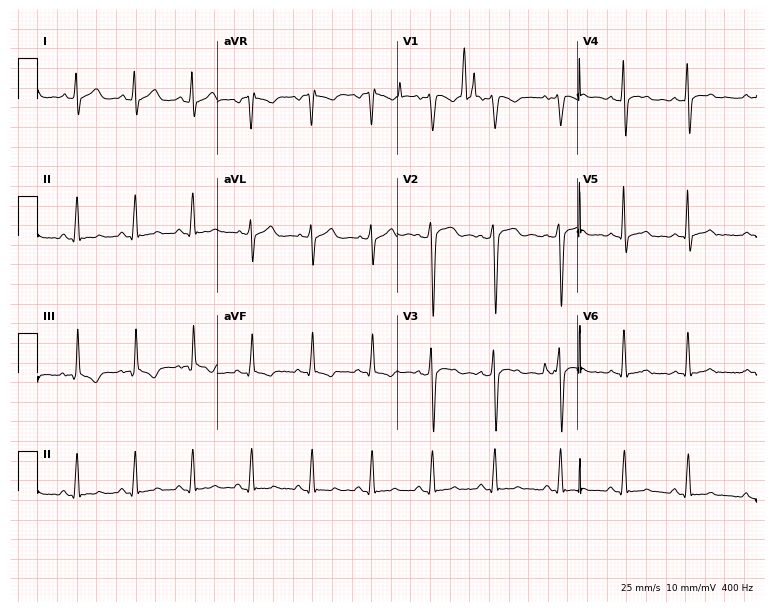
12-lead ECG from a 42-year-old male patient. Screened for six findings — first-degree AV block, right bundle branch block (RBBB), left bundle branch block (LBBB), sinus bradycardia, atrial fibrillation (AF), sinus tachycardia — none is recorded. Findings outside these six are not listed.